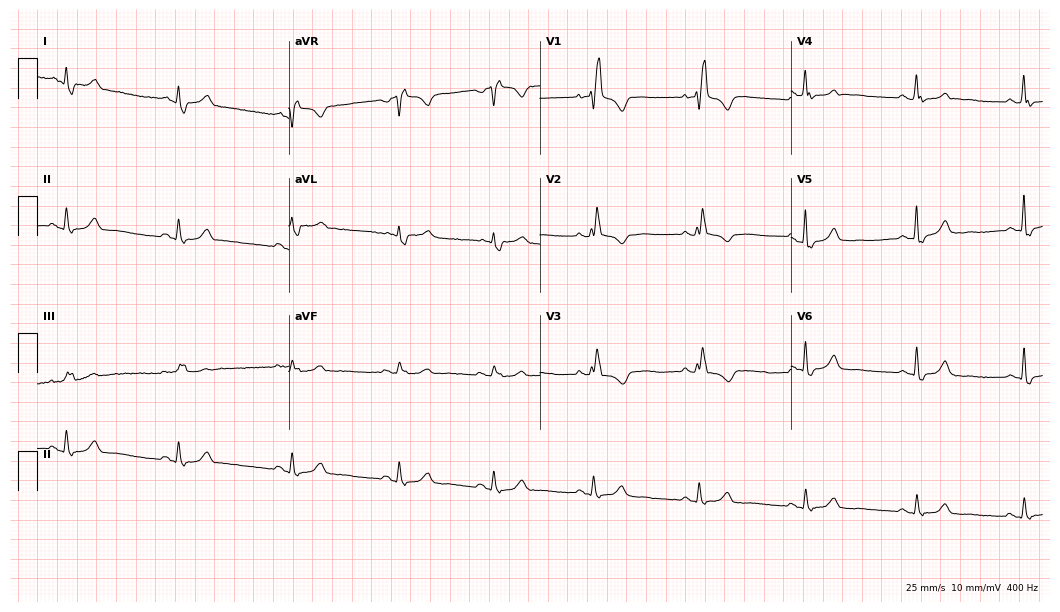
12-lead ECG from a female, 68 years old. Shows right bundle branch block.